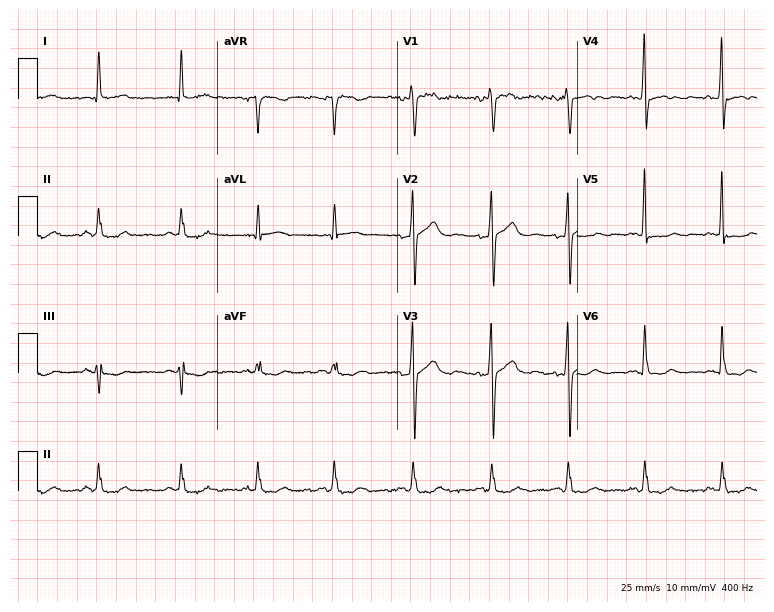
Electrocardiogram, a 52-year-old male. Of the six screened findings (first-degree AV block, right bundle branch block, left bundle branch block, sinus bradycardia, atrial fibrillation, sinus tachycardia), none is recorded. Other findings, if any, are not listed.